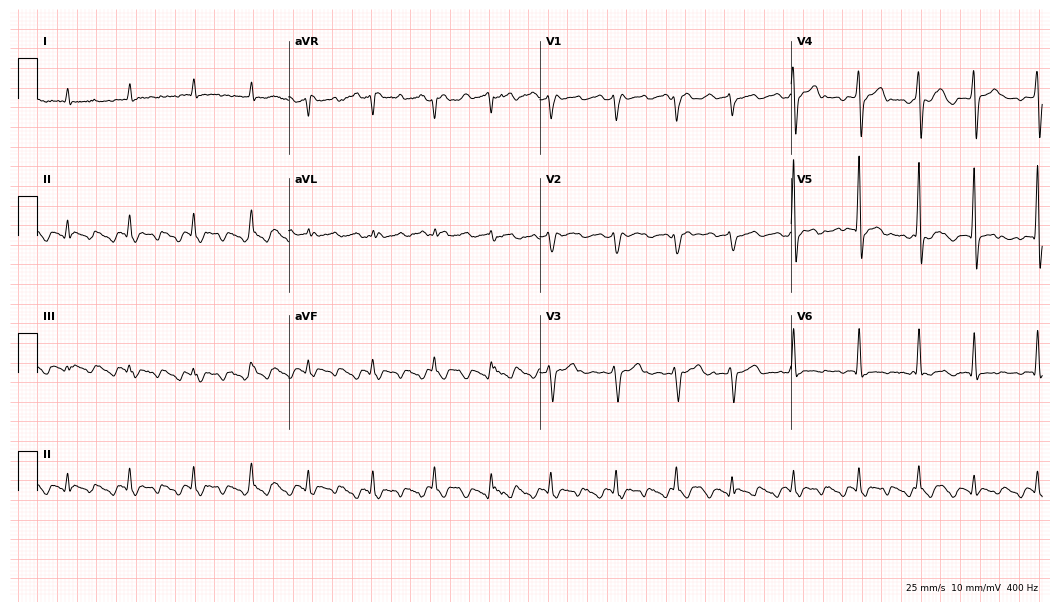
Standard 12-lead ECG recorded from a male, 52 years old (10.2-second recording at 400 Hz). None of these six findings is recorded: first-degree AV block, right bundle branch block, left bundle branch block, sinus bradycardia, atrial fibrillation, sinus tachycardia. Findings outside these six are not listed.